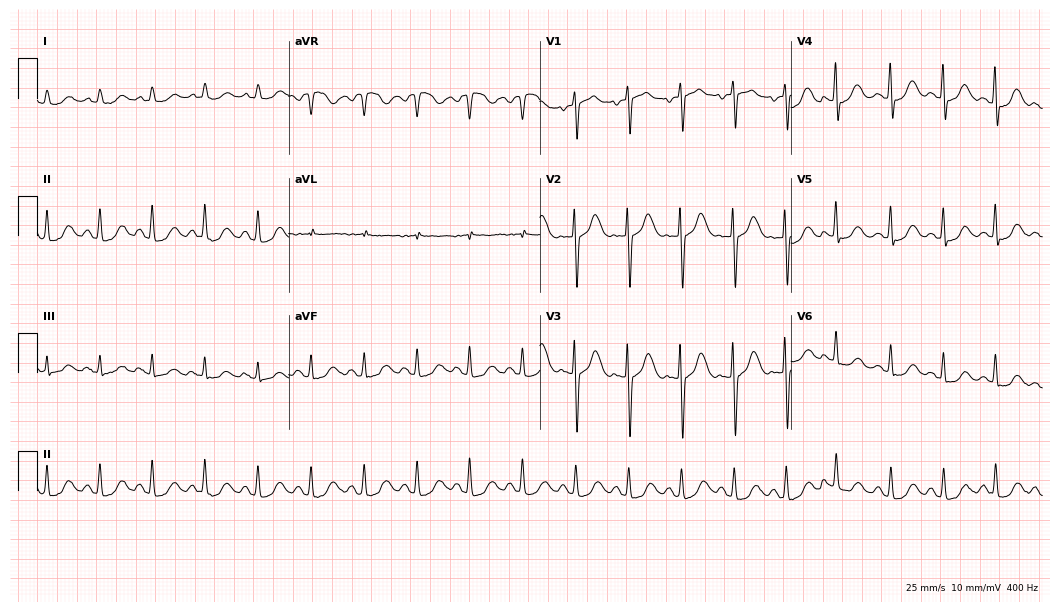
12-lead ECG from a woman, 81 years old (10.2-second recording at 400 Hz). Shows sinus tachycardia (a sinus rate of 100 beats per minute or more).